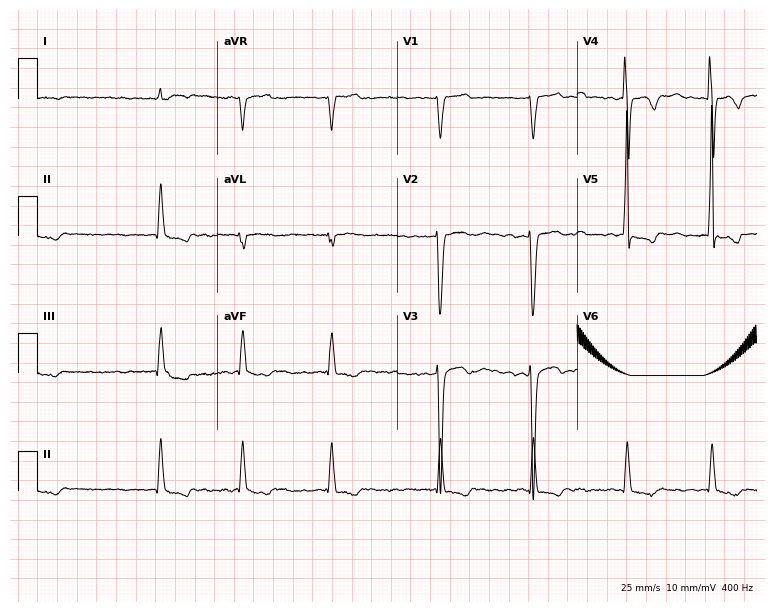
12-lead ECG from a male patient, 71 years old. Shows atrial fibrillation.